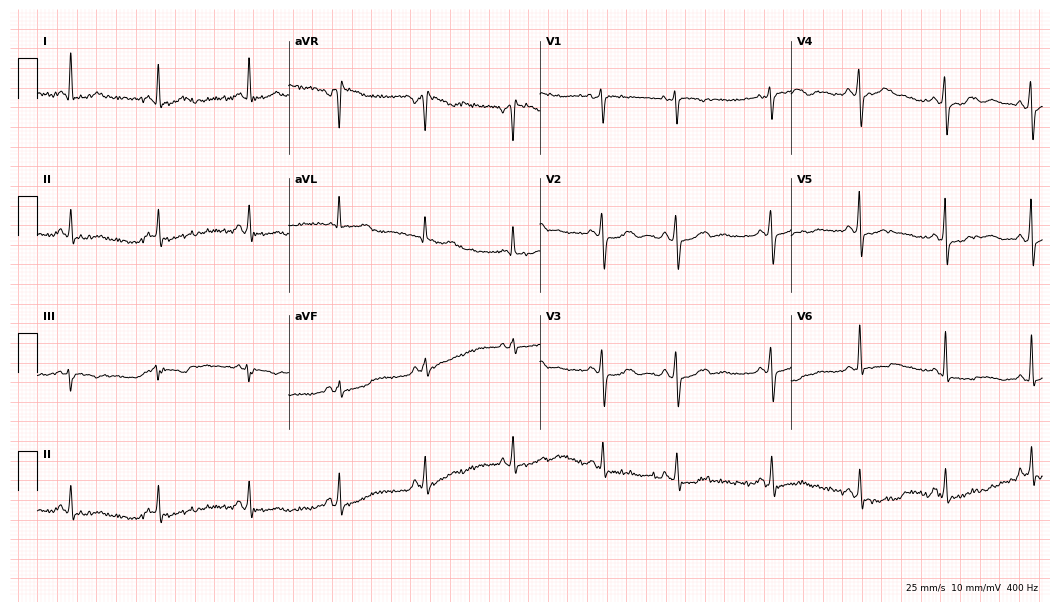
12-lead ECG (10.2-second recording at 400 Hz) from a 27-year-old female patient. Labelled as a normal ECG.